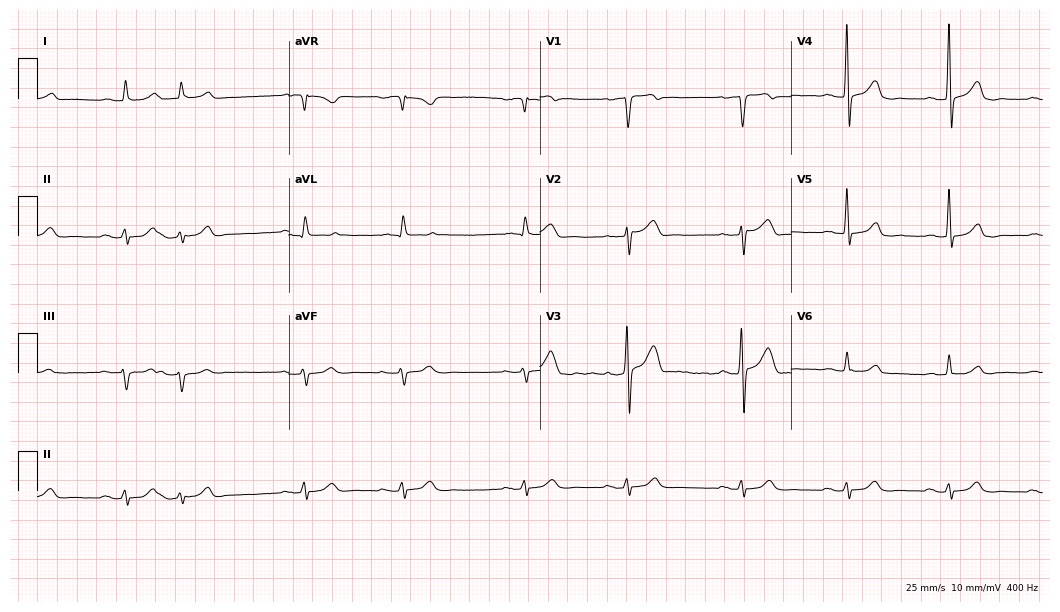
Resting 12-lead electrocardiogram (10.2-second recording at 400 Hz). Patient: an 80-year-old man. None of these six findings is recorded: first-degree AV block, right bundle branch block, left bundle branch block, sinus bradycardia, atrial fibrillation, sinus tachycardia. Only these six findings were labelled.